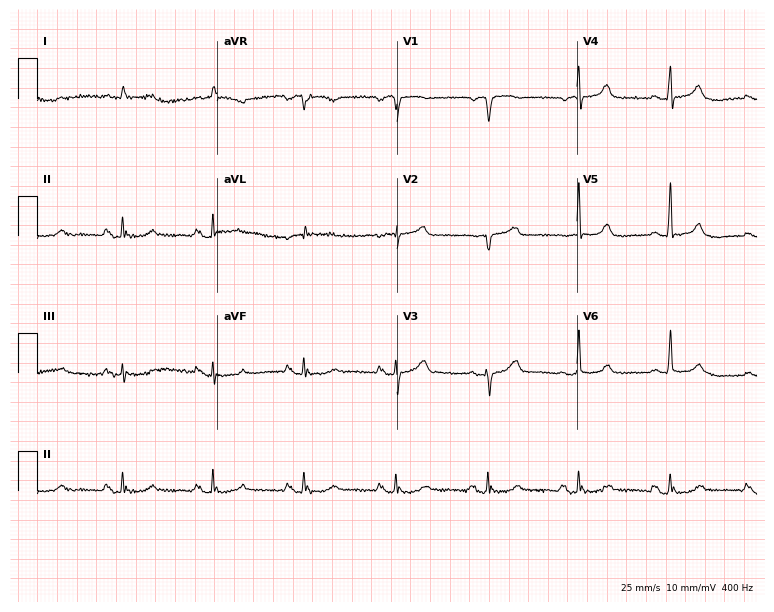
Resting 12-lead electrocardiogram. Patient: an 80-year-old male. Read as a normal ECG.